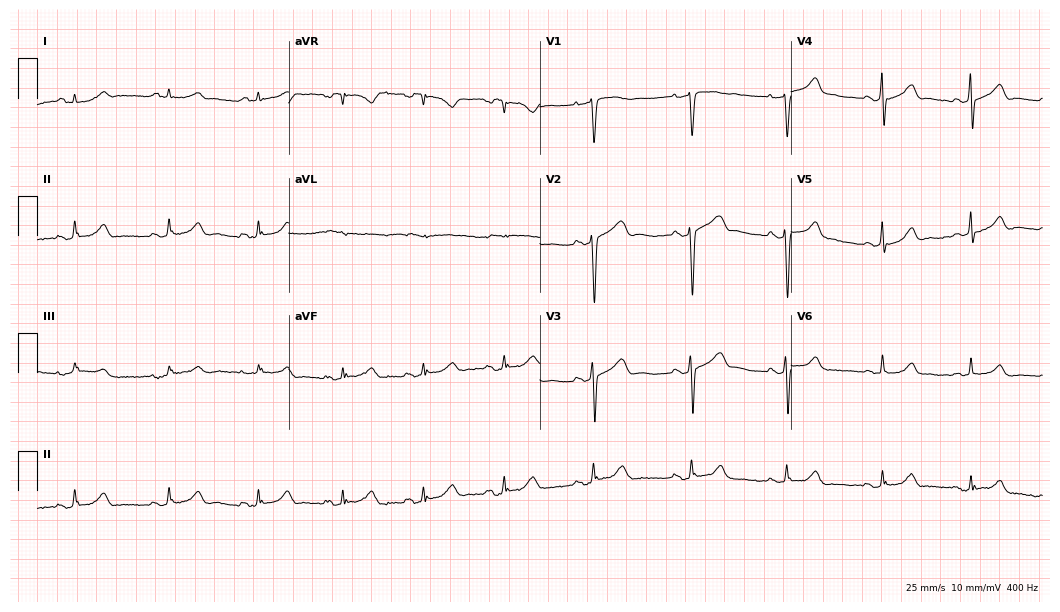
Electrocardiogram, a 52-year-old male. Of the six screened findings (first-degree AV block, right bundle branch block (RBBB), left bundle branch block (LBBB), sinus bradycardia, atrial fibrillation (AF), sinus tachycardia), none is recorded. Other findings, if any, are not listed.